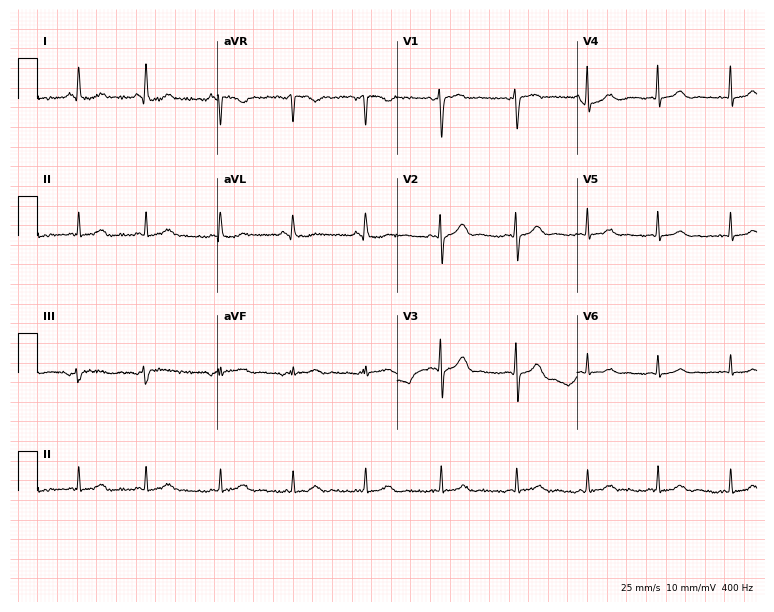
Standard 12-lead ECG recorded from a 37-year-old woman (7.3-second recording at 400 Hz). None of these six findings is recorded: first-degree AV block, right bundle branch block, left bundle branch block, sinus bradycardia, atrial fibrillation, sinus tachycardia. Other findings, if any, are not listed.